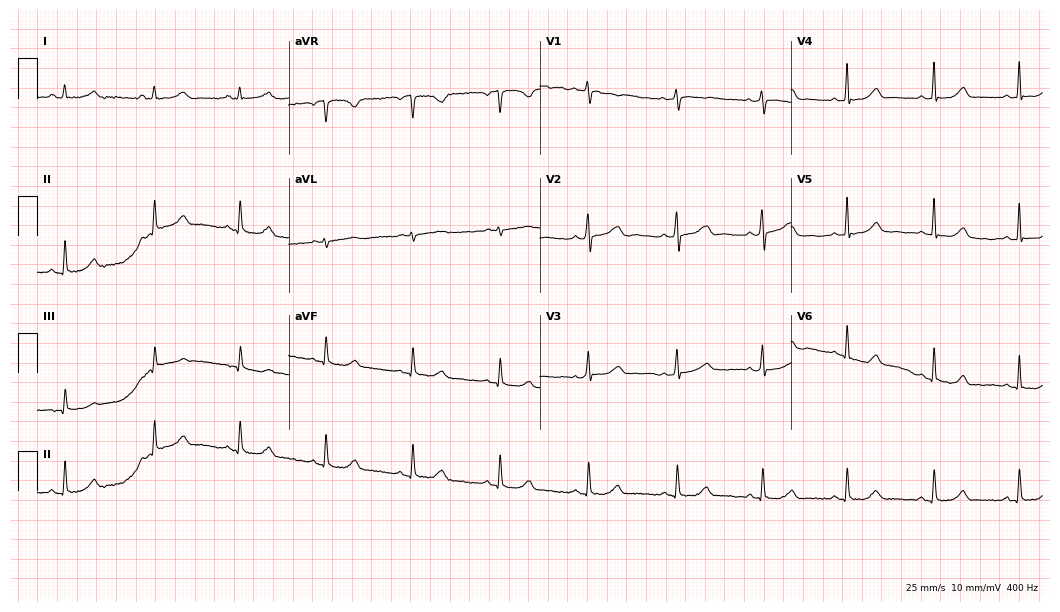
12-lead ECG from a woman, 42 years old. Recorded interpretation: within normal limits.